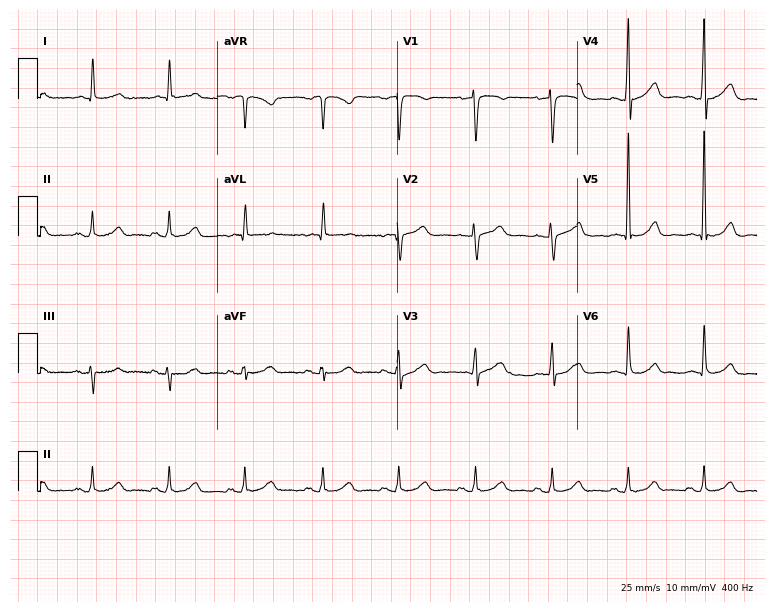
Standard 12-lead ECG recorded from a male, 81 years old. None of these six findings is recorded: first-degree AV block, right bundle branch block, left bundle branch block, sinus bradycardia, atrial fibrillation, sinus tachycardia.